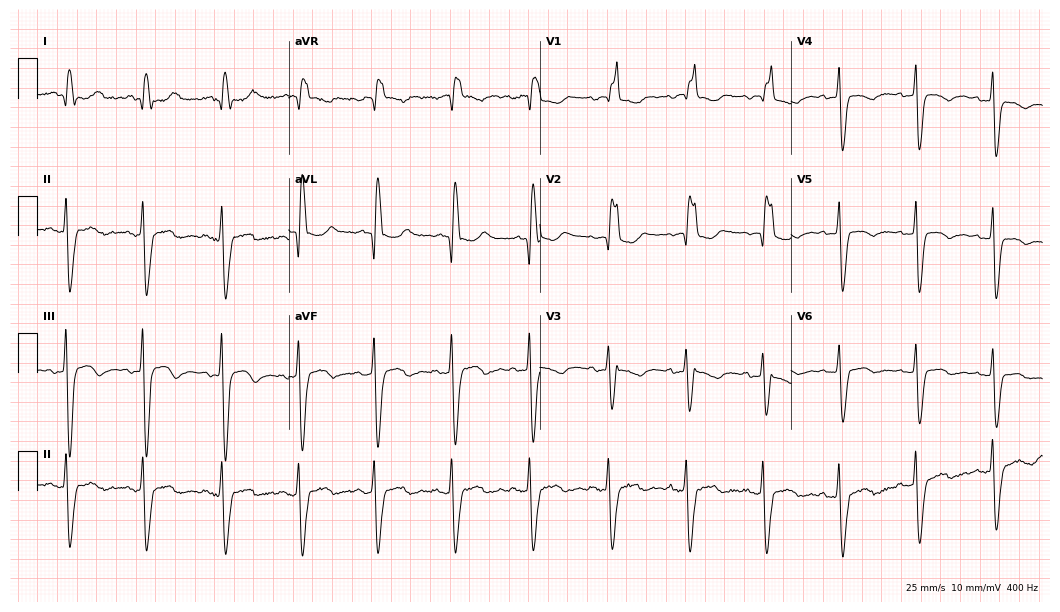
12-lead ECG from a 79-year-old woman. Findings include right bundle branch block.